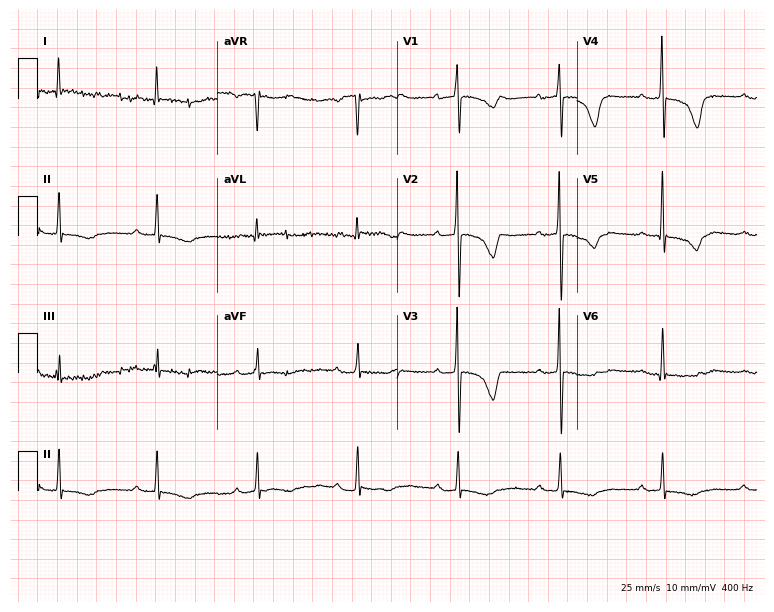
12-lead ECG (7.3-second recording at 400 Hz) from a female, 57 years old. Findings include first-degree AV block.